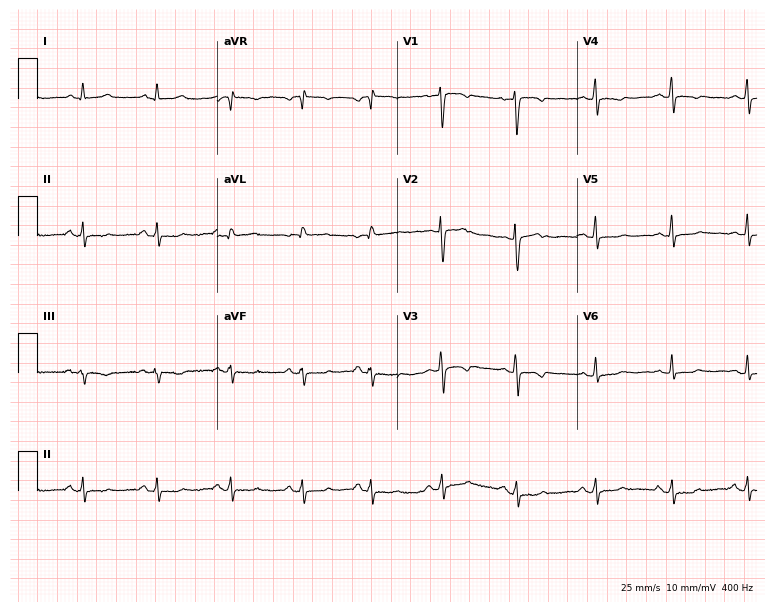
Resting 12-lead electrocardiogram. Patient: a female, 50 years old. Read as a normal ECG.